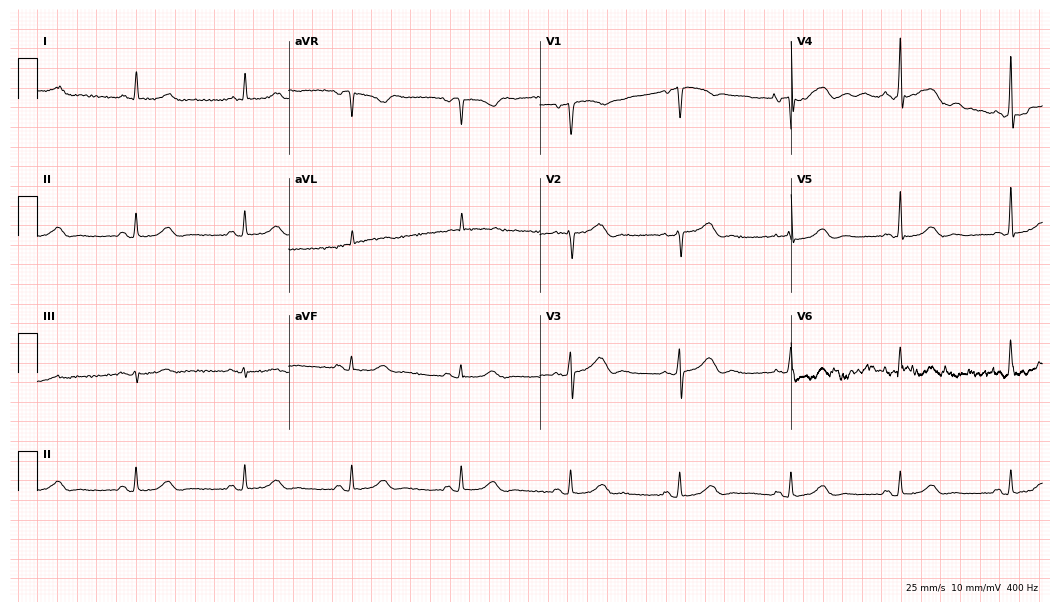
Resting 12-lead electrocardiogram (10.2-second recording at 400 Hz). Patient: a female, 71 years old. Read as a normal ECG.